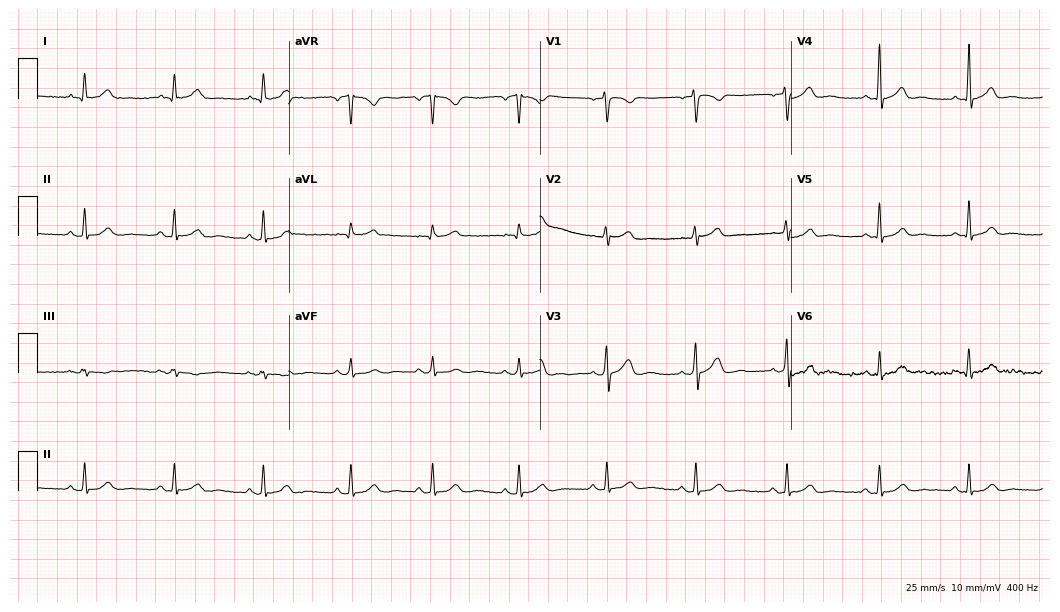
Standard 12-lead ECG recorded from a male patient, 40 years old (10.2-second recording at 400 Hz). Read as a normal ECG.